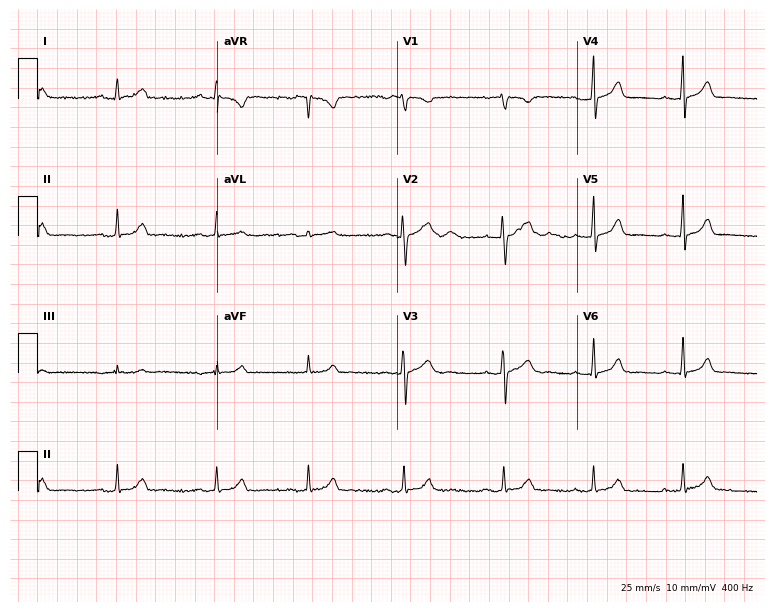
ECG — an 18-year-old female. Labelled as a normal ECG.